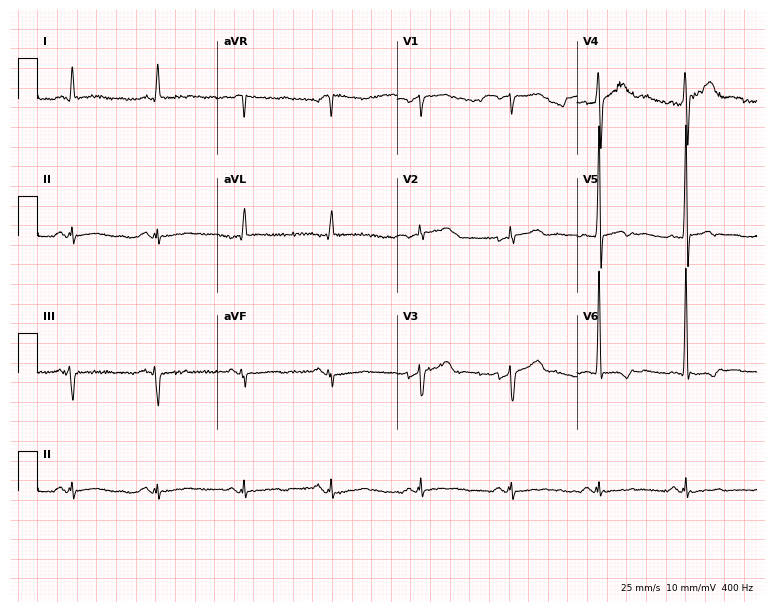
12-lead ECG (7.3-second recording at 400 Hz) from a male, 64 years old. Screened for six findings — first-degree AV block, right bundle branch block (RBBB), left bundle branch block (LBBB), sinus bradycardia, atrial fibrillation (AF), sinus tachycardia — none is recorded.